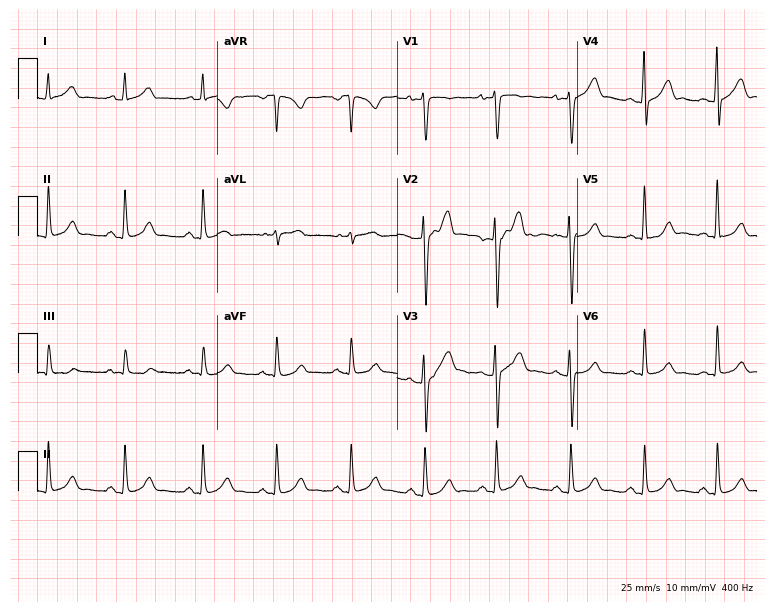
12-lead ECG from a 31-year-old man. Recorded interpretation: within normal limits.